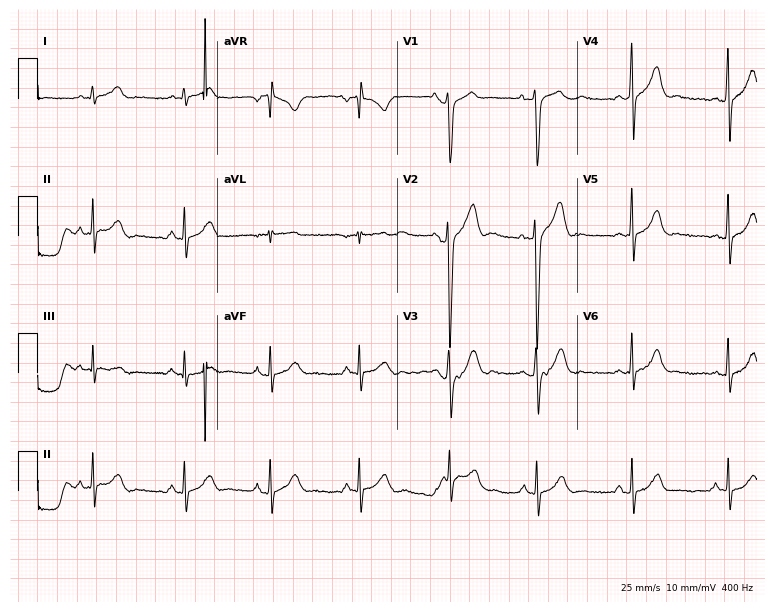
12-lead ECG from a man, 20 years old. Labelled as a normal ECG.